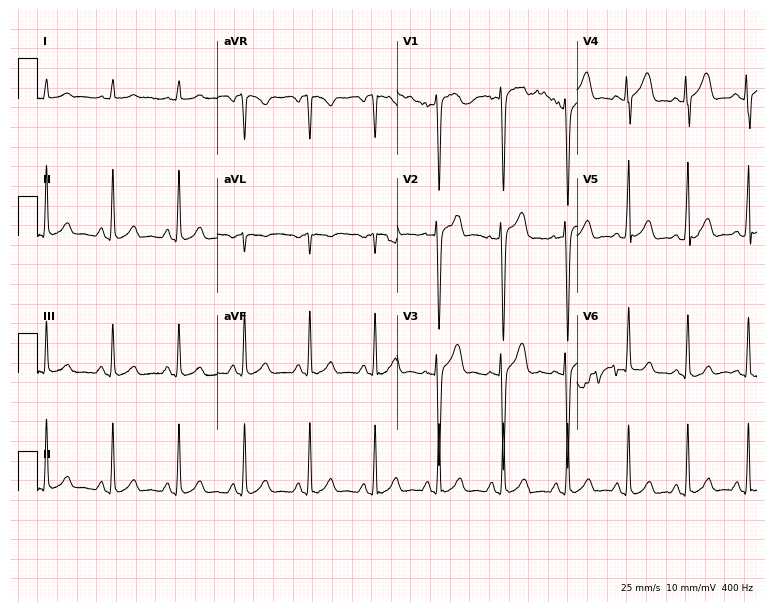
ECG — a 35-year-old male patient. Screened for six findings — first-degree AV block, right bundle branch block, left bundle branch block, sinus bradycardia, atrial fibrillation, sinus tachycardia — none is recorded. Only these six findings were labelled.